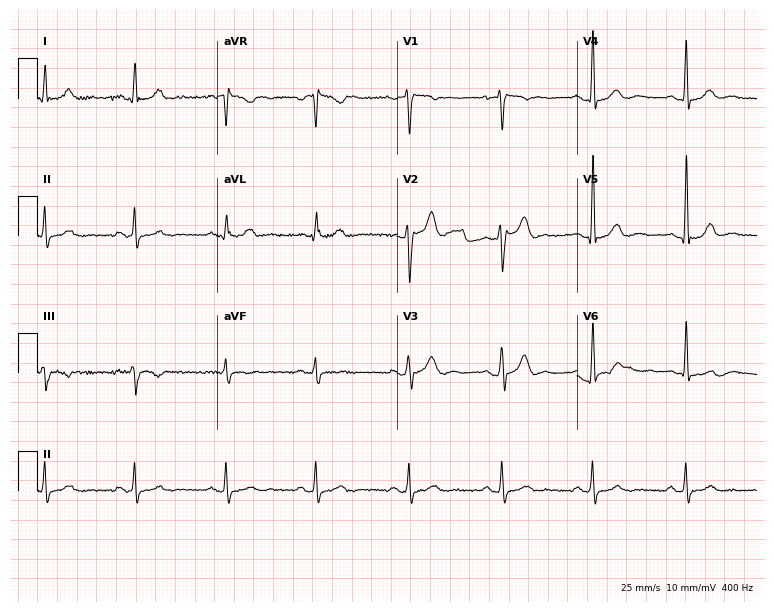
12-lead ECG from a male patient, 36 years old. No first-degree AV block, right bundle branch block, left bundle branch block, sinus bradycardia, atrial fibrillation or sinus tachycardia recorded for this tracing. Other findings, if any, are not listed.